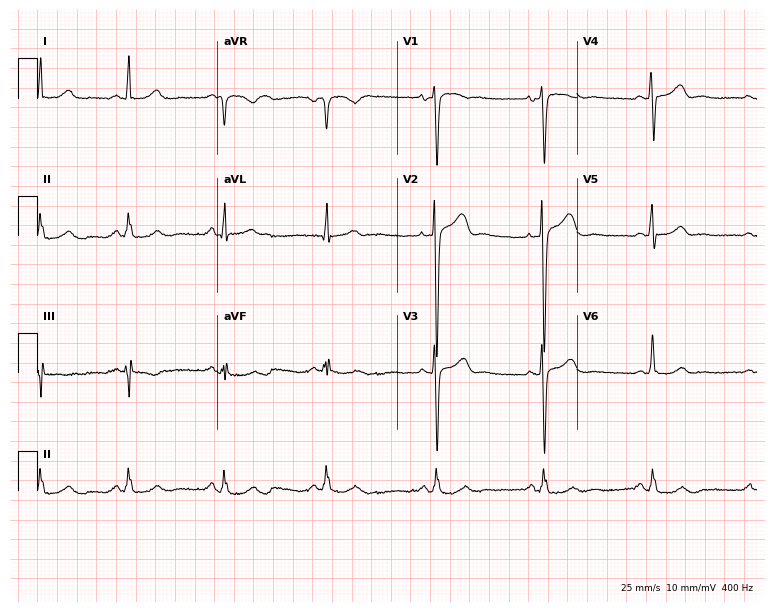
12-lead ECG from a 57-year-old male. Screened for six findings — first-degree AV block, right bundle branch block, left bundle branch block, sinus bradycardia, atrial fibrillation, sinus tachycardia — none is recorded. Other findings, if any, are not listed.